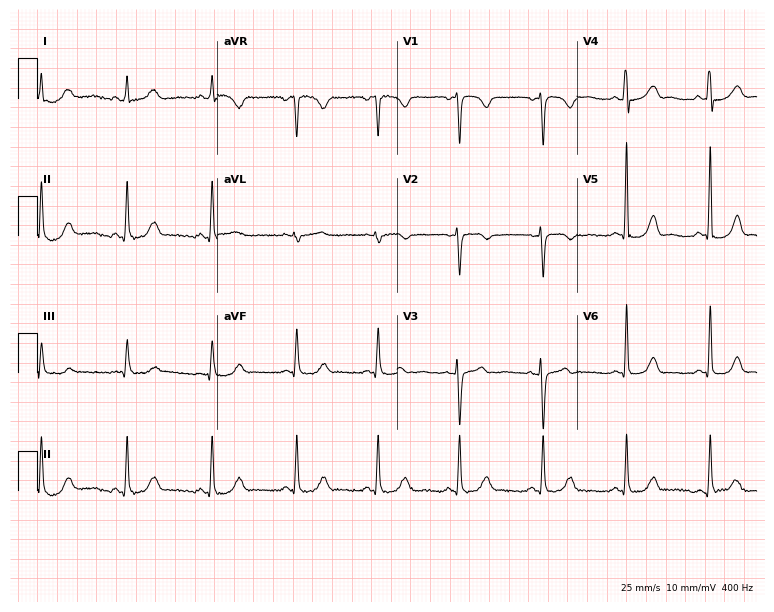
Standard 12-lead ECG recorded from a female patient, 36 years old. None of these six findings is recorded: first-degree AV block, right bundle branch block, left bundle branch block, sinus bradycardia, atrial fibrillation, sinus tachycardia. Only these six findings were labelled.